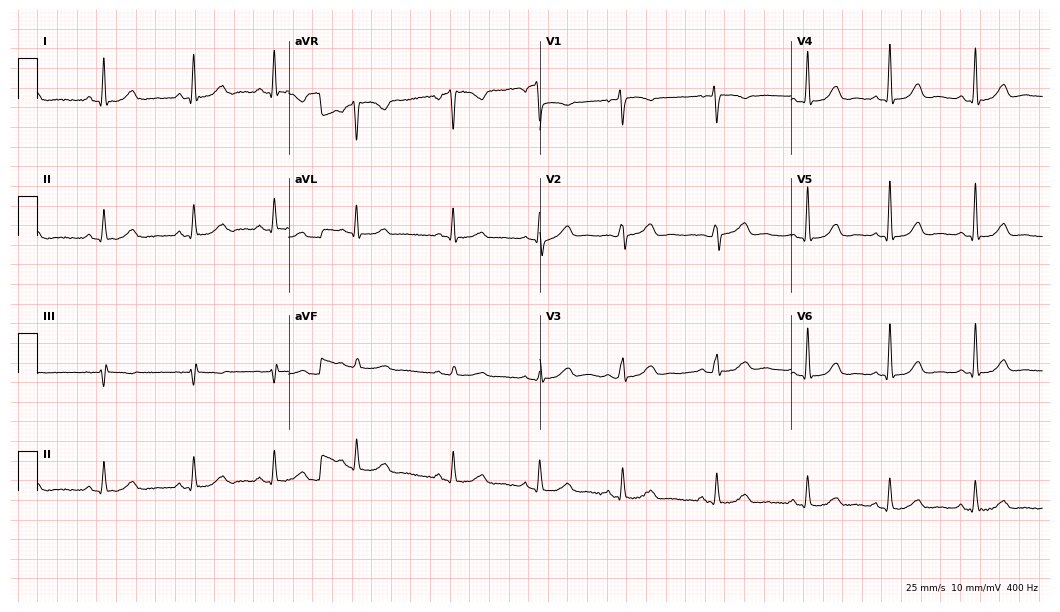
ECG (10.2-second recording at 400 Hz) — a 43-year-old female. Labelled as a normal ECG.